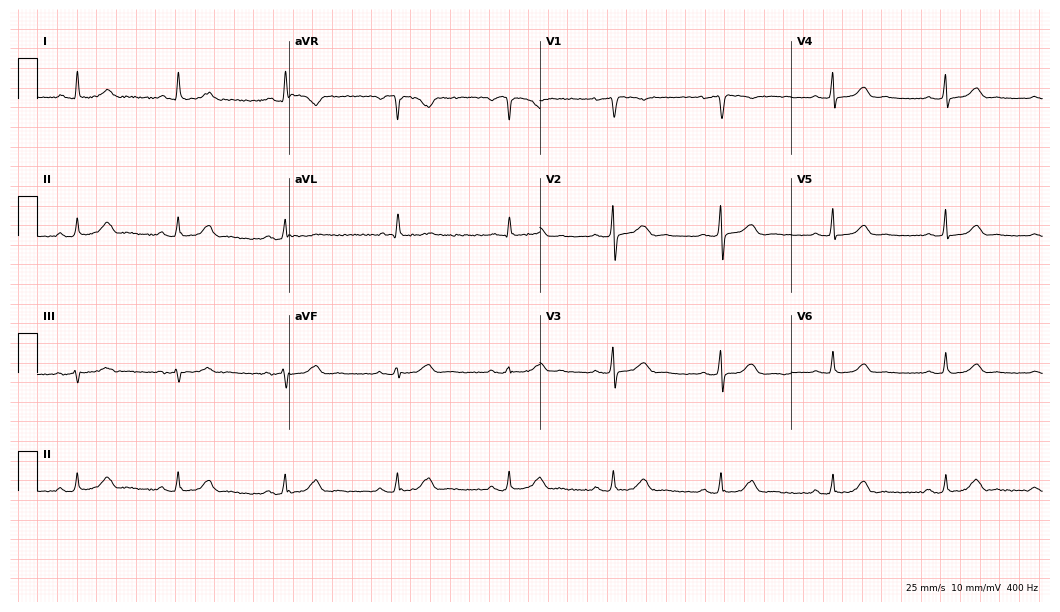
12-lead ECG from a 60-year-old woman. Labelled as a normal ECG.